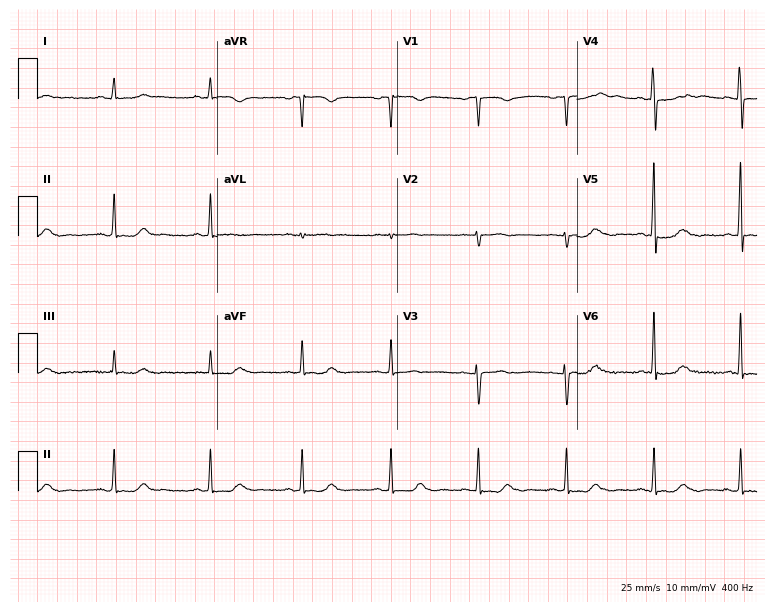
ECG (7.3-second recording at 400 Hz) — a 58-year-old female. Screened for six findings — first-degree AV block, right bundle branch block, left bundle branch block, sinus bradycardia, atrial fibrillation, sinus tachycardia — none is recorded. Other findings, if any, are not listed.